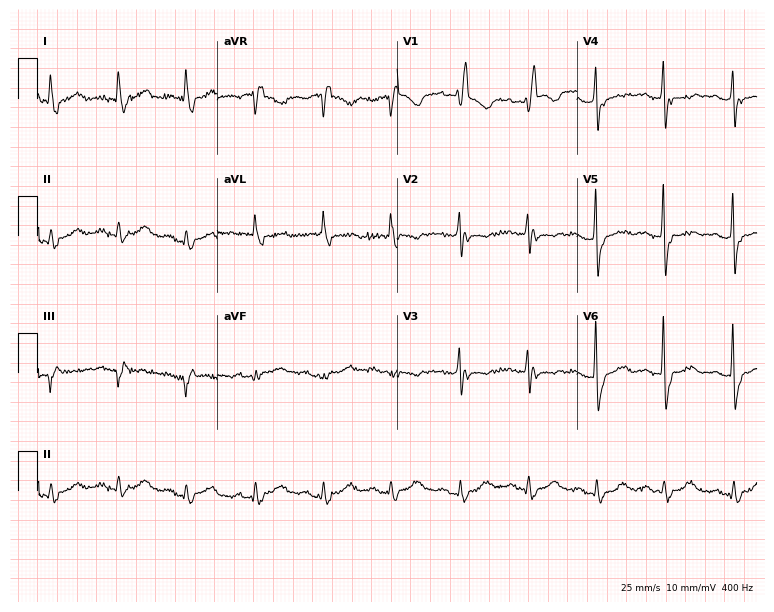
ECG — a woman, 83 years old. Findings include right bundle branch block (RBBB).